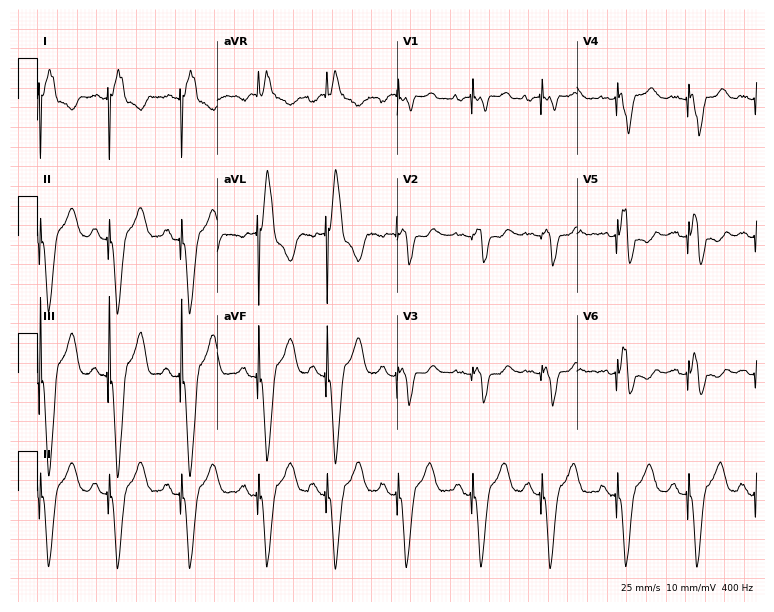
Standard 12-lead ECG recorded from a female patient, 70 years old. None of these six findings is recorded: first-degree AV block, right bundle branch block, left bundle branch block, sinus bradycardia, atrial fibrillation, sinus tachycardia.